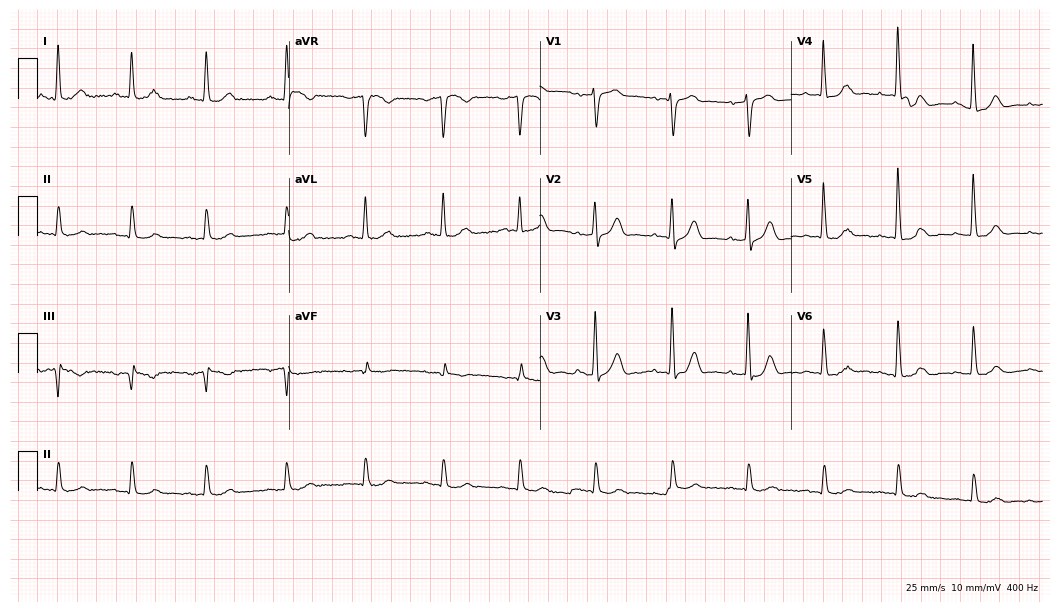
Standard 12-lead ECG recorded from a male patient, 84 years old (10.2-second recording at 400 Hz). None of these six findings is recorded: first-degree AV block, right bundle branch block, left bundle branch block, sinus bradycardia, atrial fibrillation, sinus tachycardia. Other findings, if any, are not listed.